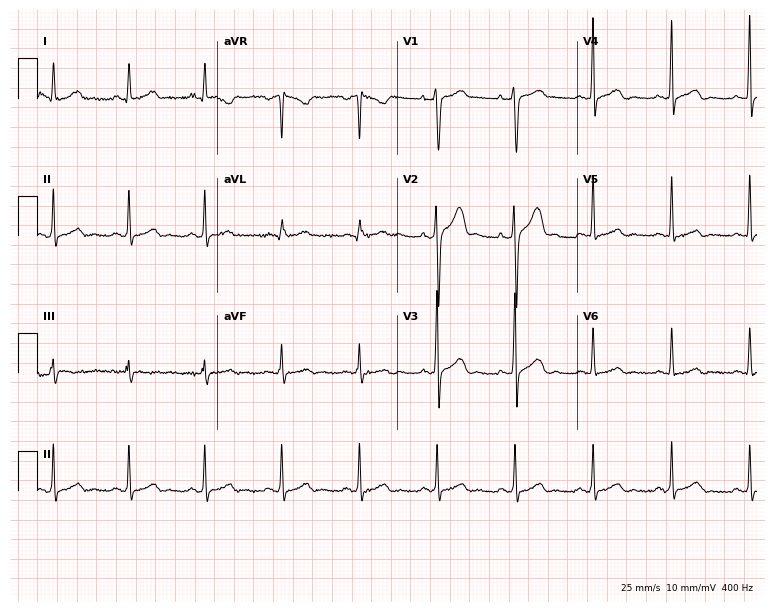
12-lead ECG from a man, 40 years old. Recorded interpretation: within normal limits.